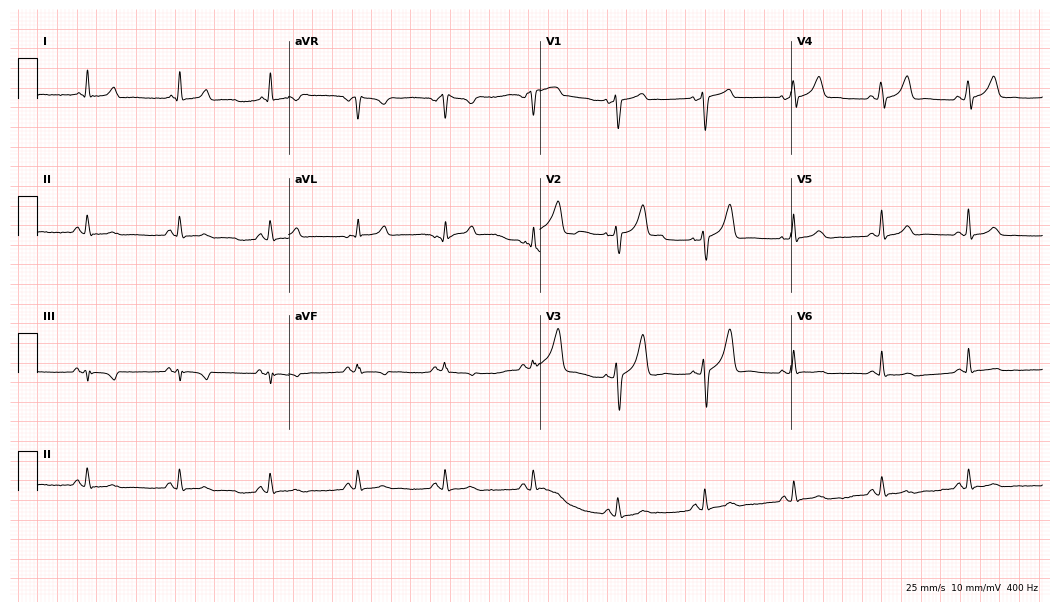
Resting 12-lead electrocardiogram (10.2-second recording at 400 Hz). Patient: a man, 71 years old. None of these six findings is recorded: first-degree AV block, right bundle branch block (RBBB), left bundle branch block (LBBB), sinus bradycardia, atrial fibrillation (AF), sinus tachycardia. Only these six findings were labelled.